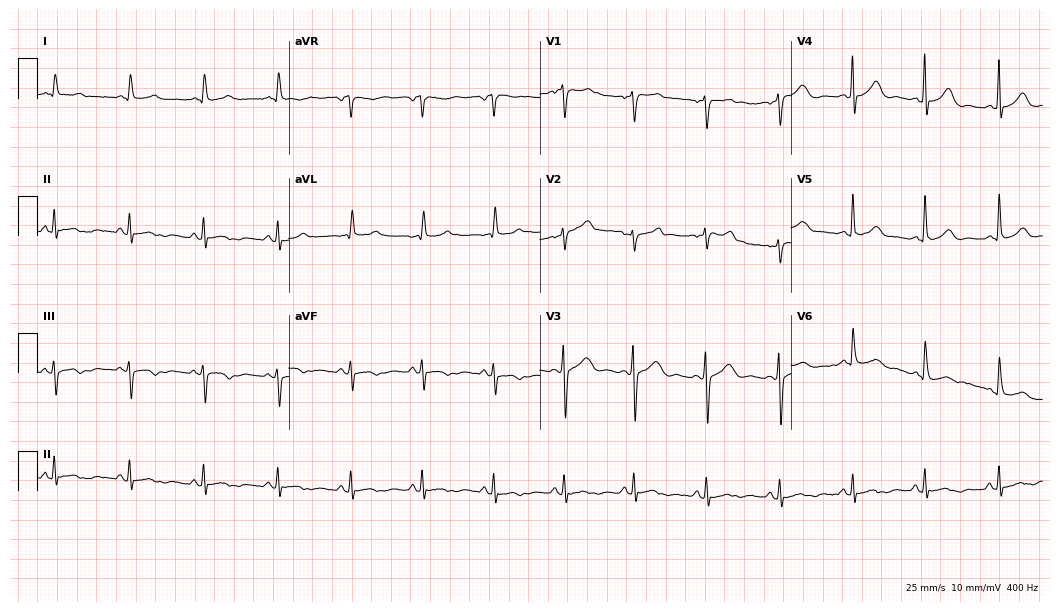
Standard 12-lead ECG recorded from a 46-year-old woman. Read as a normal ECG.